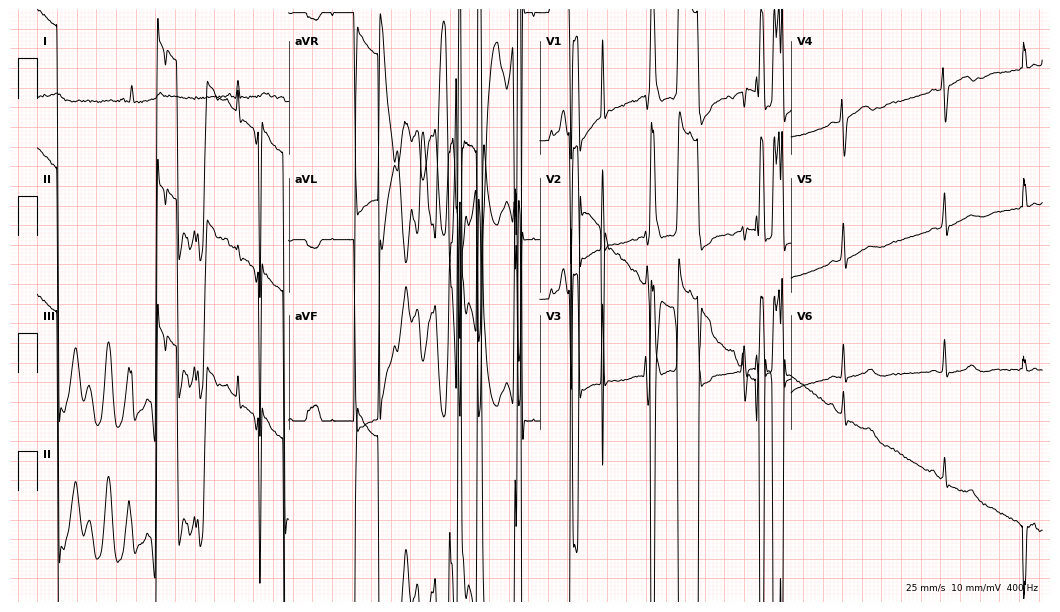
12-lead ECG from a 41-year-old woman. Screened for six findings — first-degree AV block, right bundle branch block, left bundle branch block, sinus bradycardia, atrial fibrillation, sinus tachycardia — none is recorded. Other findings, if any, are not listed.